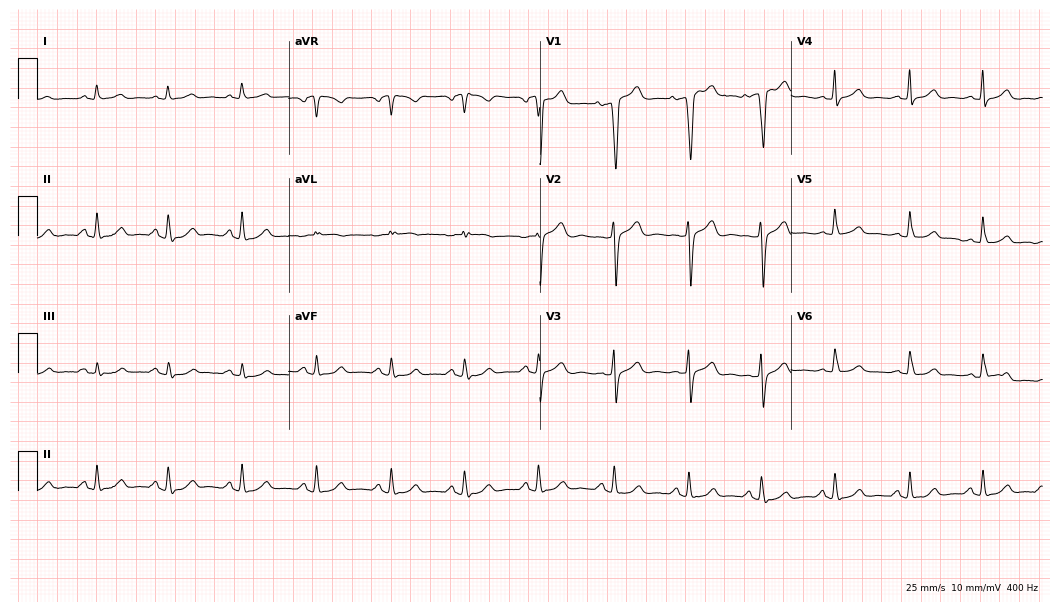
Standard 12-lead ECG recorded from a male patient, 53 years old (10.2-second recording at 400 Hz). Read as a normal ECG.